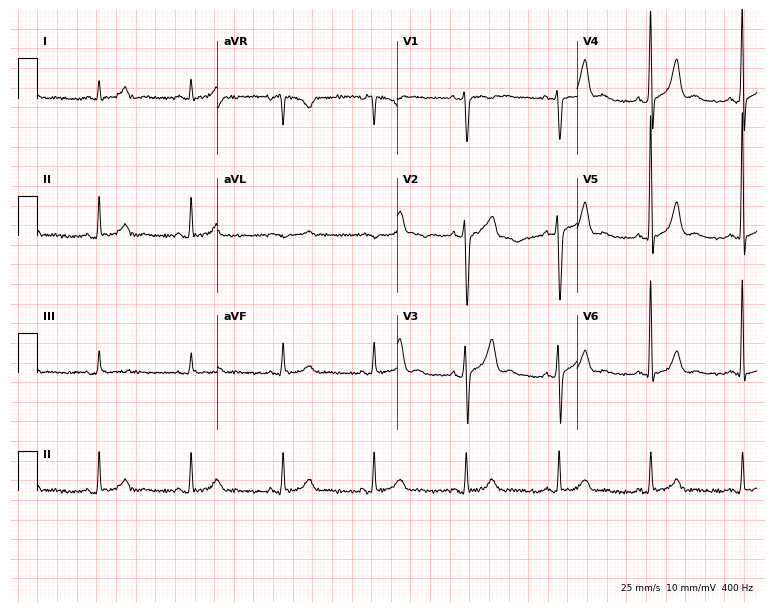
Electrocardiogram, a male patient, 52 years old. Overall reading on record: normal ECG.